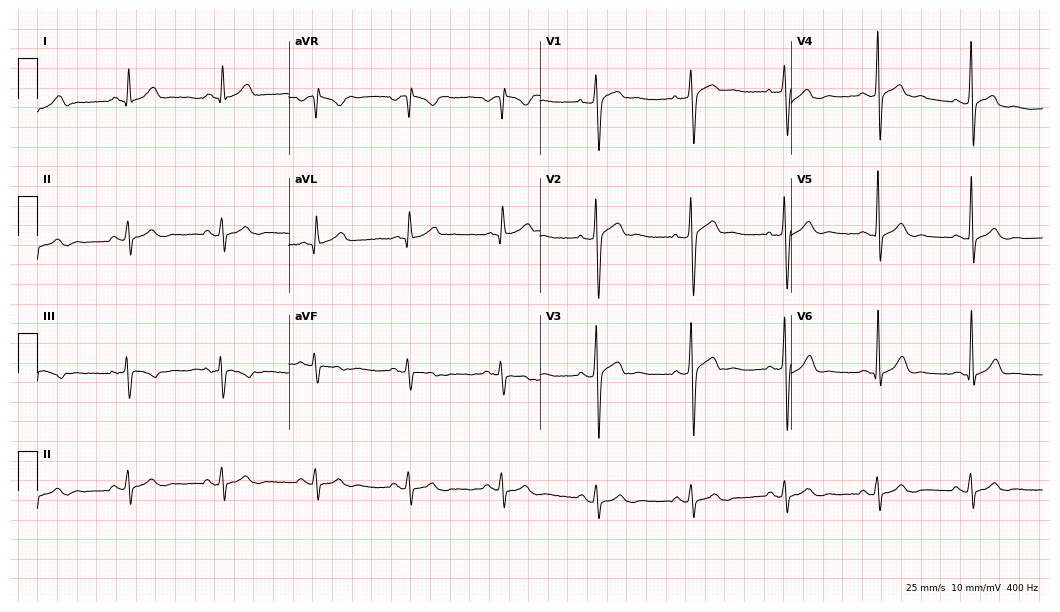
Standard 12-lead ECG recorded from a 43-year-old male patient. Read as a normal ECG.